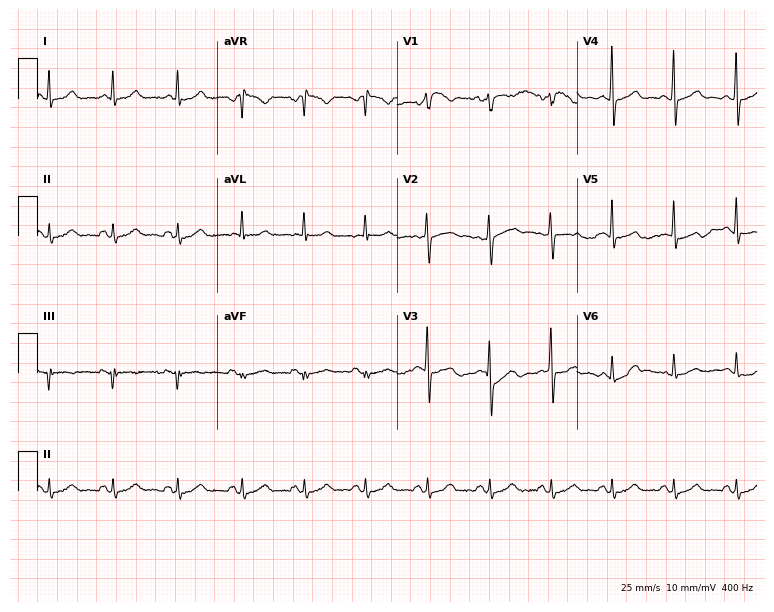
Electrocardiogram, a 25-year-old woman. Of the six screened findings (first-degree AV block, right bundle branch block, left bundle branch block, sinus bradycardia, atrial fibrillation, sinus tachycardia), none is recorded.